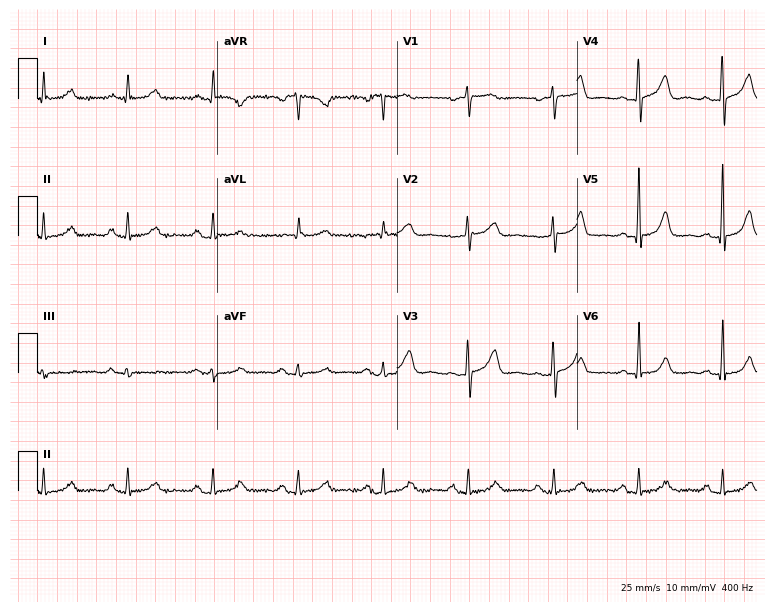
Standard 12-lead ECG recorded from a female patient, 71 years old (7.3-second recording at 400 Hz). None of these six findings is recorded: first-degree AV block, right bundle branch block (RBBB), left bundle branch block (LBBB), sinus bradycardia, atrial fibrillation (AF), sinus tachycardia.